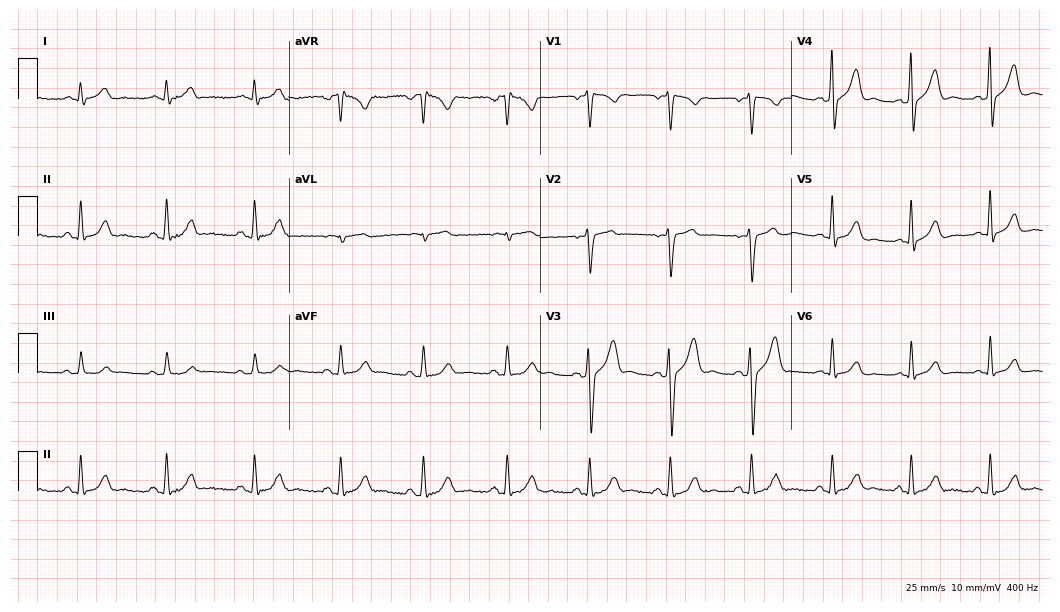
ECG — a male, 40 years old. Screened for six findings — first-degree AV block, right bundle branch block (RBBB), left bundle branch block (LBBB), sinus bradycardia, atrial fibrillation (AF), sinus tachycardia — none is recorded. Other findings, if any, are not listed.